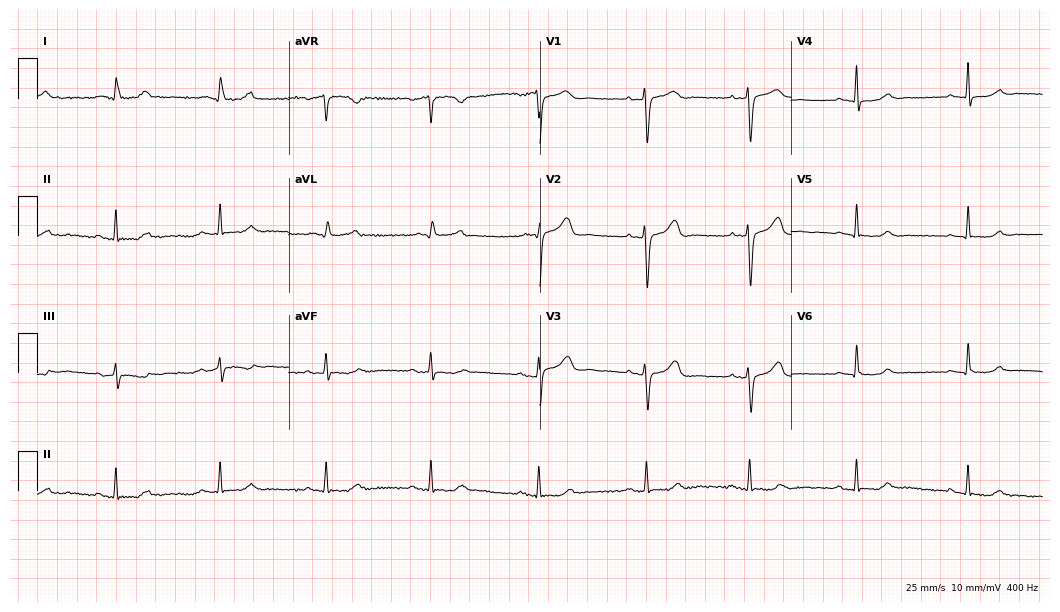
ECG (10.2-second recording at 400 Hz) — a 70-year-old female. Labelled as a normal ECG.